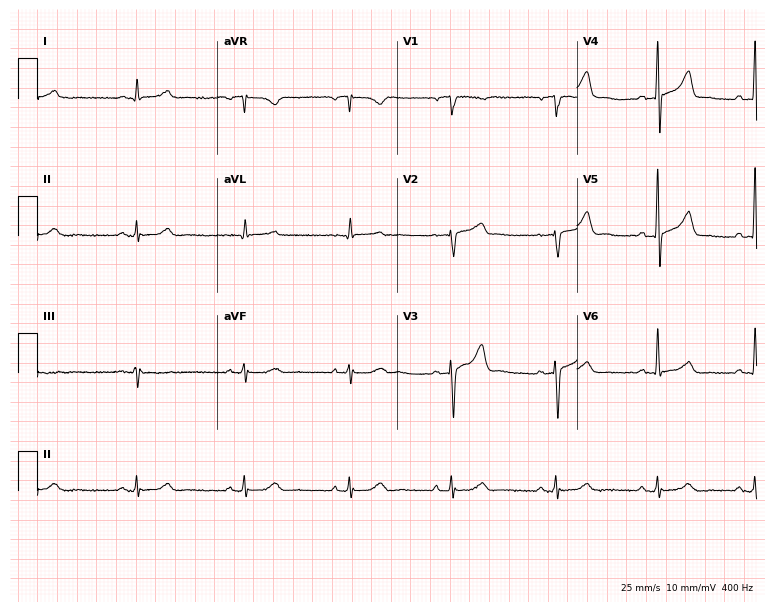
Standard 12-lead ECG recorded from a 70-year-old male (7.3-second recording at 400 Hz). Read as a normal ECG.